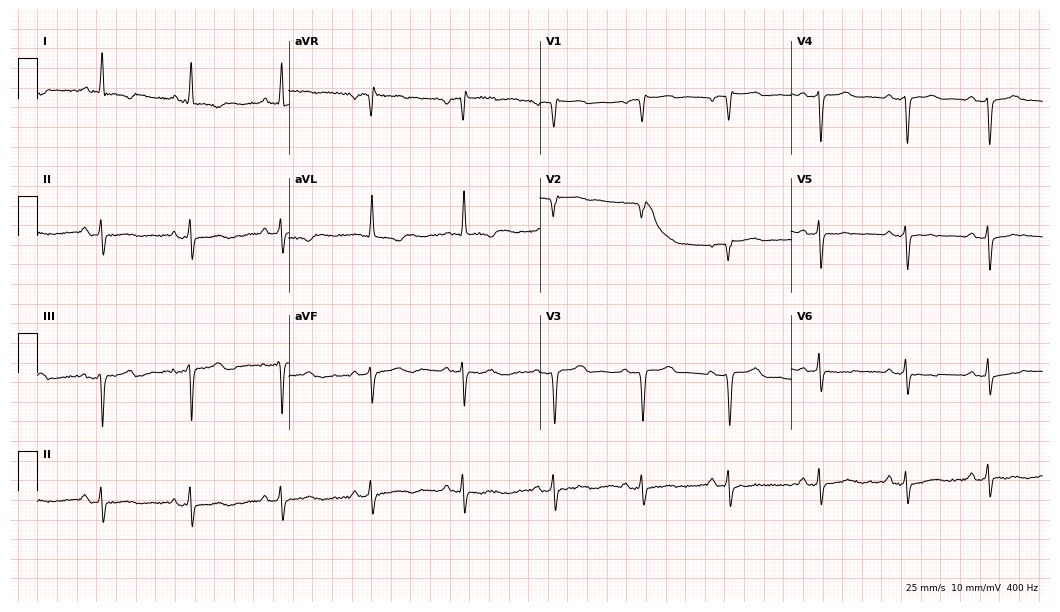
12-lead ECG from a 66-year-old female patient. No first-degree AV block, right bundle branch block, left bundle branch block, sinus bradycardia, atrial fibrillation or sinus tachycardia recorded for this tracing. Only these six findings were labelled.